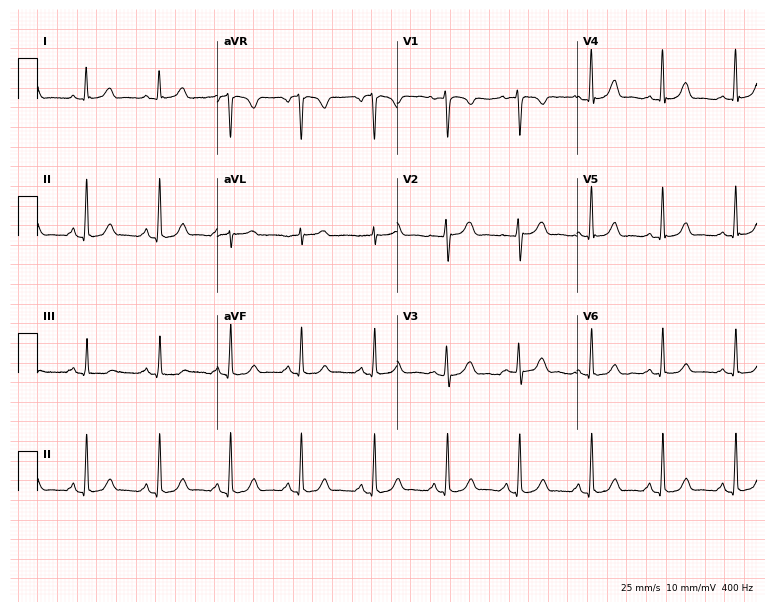
Resting 12-lead electrocardiogram. Patient: a woman, 40 years old. None of these six findings is recorded: first-degree AV block, right bundle branch block, left bundle branch block, sinus bradycardia, atrial fibrillation, sinus tachycardia. Findings outside these six are not listed.